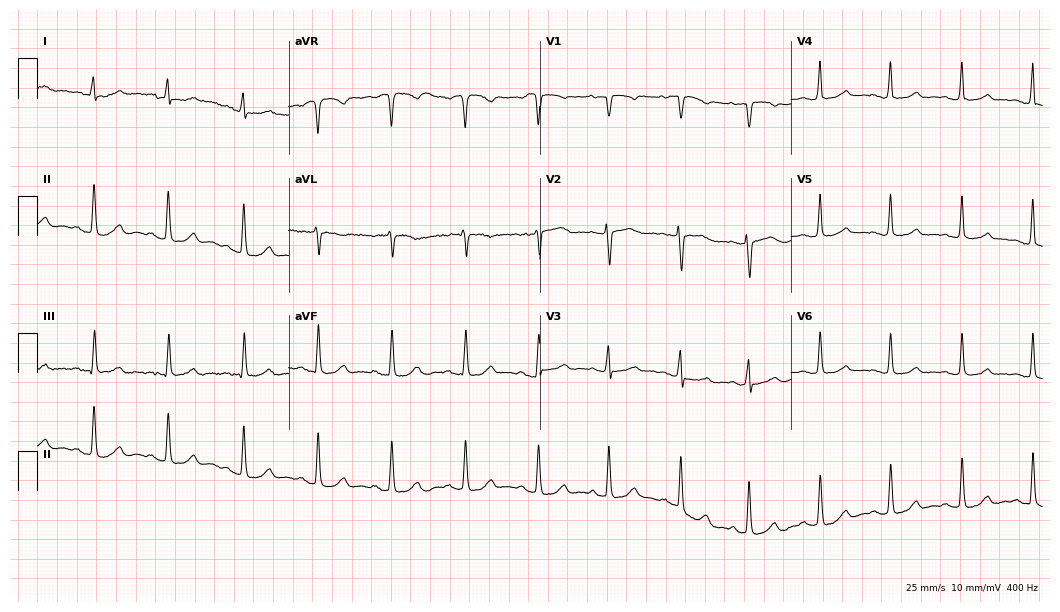
12-lead ECG from a woman, 59 years old (10.2-second recording at 400 Hz). No first-degree AV block, right bundle branch block, left bundle branch block, sinus bradycardia, atrial fibrillation or sinus tachycardia recorded for this tracing. Findings outside these six are not listed.